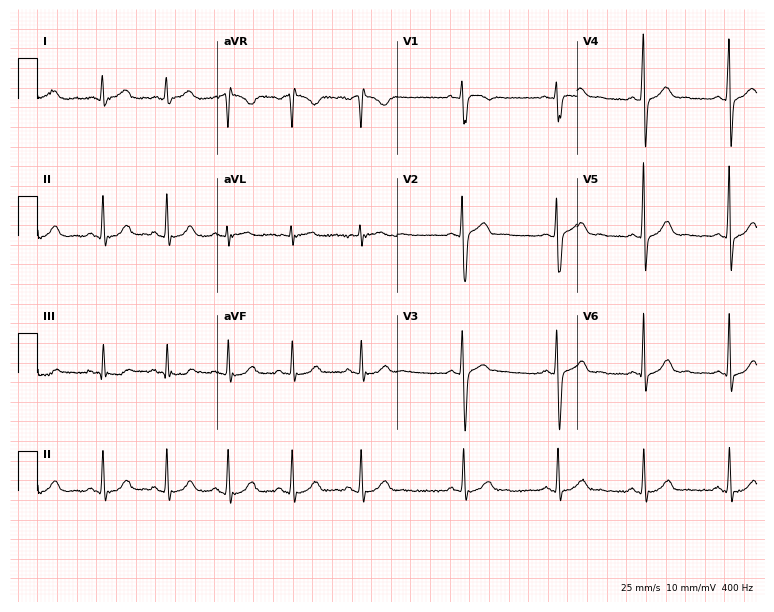
12-lead ECG (7.3-second recording at 400 Hz) from a female, 23 years old. Screened for six findings — first-degree AV block, right bundle branch block (RBBB), left bundle branch block (LBBB), sinus bradycardia, atrial fibrillation (AF), sinus tachycardia — none is recorded.